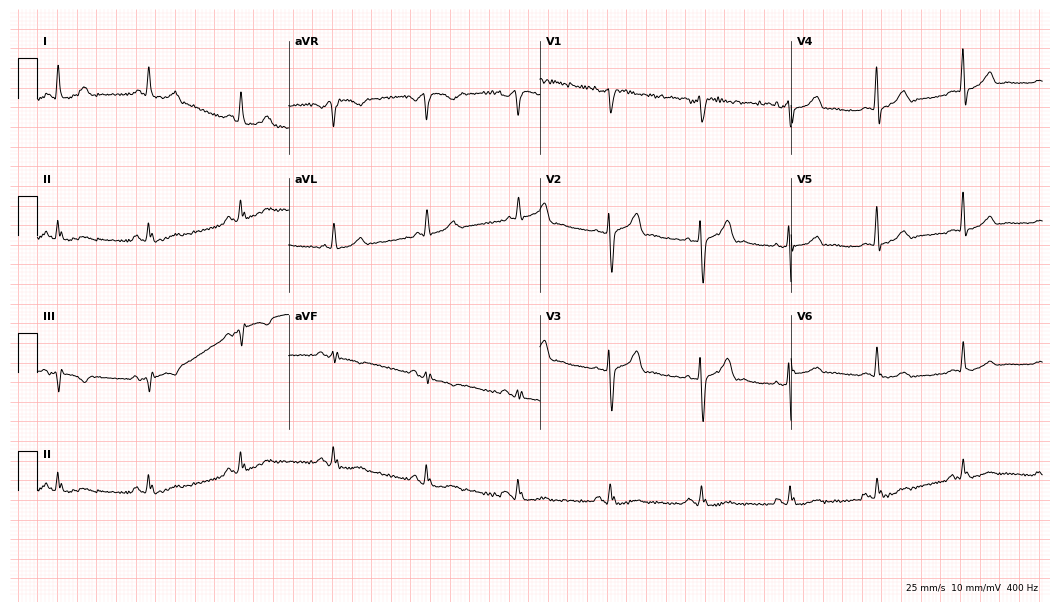
ECG — a 53-year-old male. Labelled as a normal ECG.